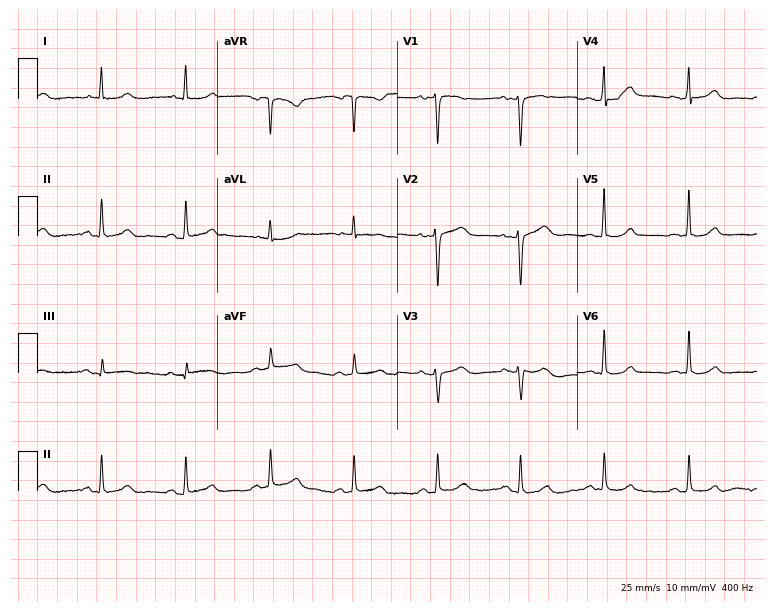
12-lead ECG from a 57-year-old female (7.3-second recording at 400 Hz). No first-degree AV block, right bundle branch block, left bundle branch block, sinus bradycardia, atrial fibrillation or sinus tachycardia recorded for this tracing.